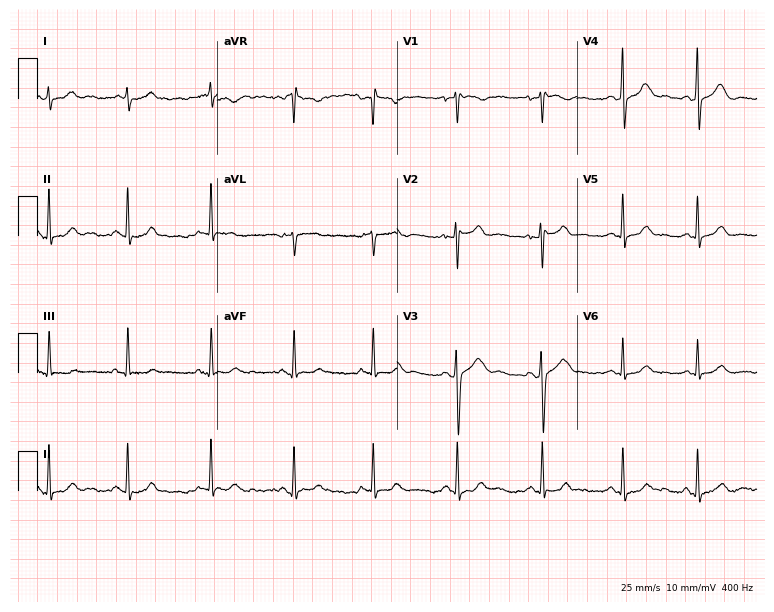
Electrocardiogram, a 26-year-old woman. Overall reading on record: normal ECG.